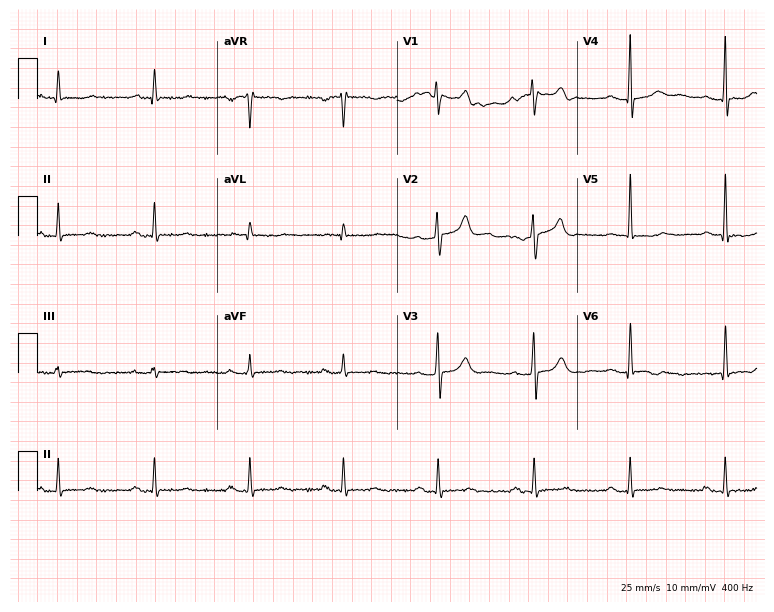
Resting 12-lead electrocardiogram (7.3-second recording at 400 Hz). Patient: a female, 71 years old. Read as a normal ECG.